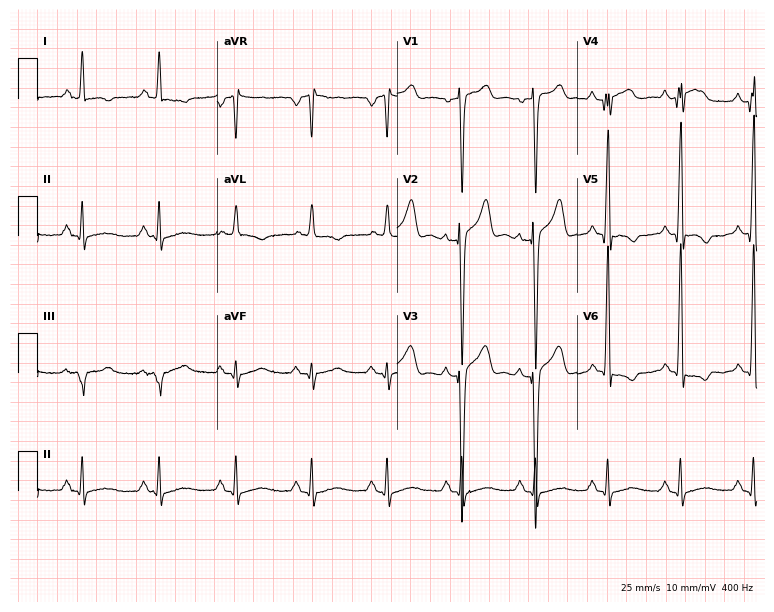
12-lead ECG from a 55-year-old man (7.3-second recording at 400 Hz). No first-degree AV block, right bundle branch block, left bundle branch block, sinus bradycardia, atrial fibrillation or sinus tachycardia recorded for this tracing.